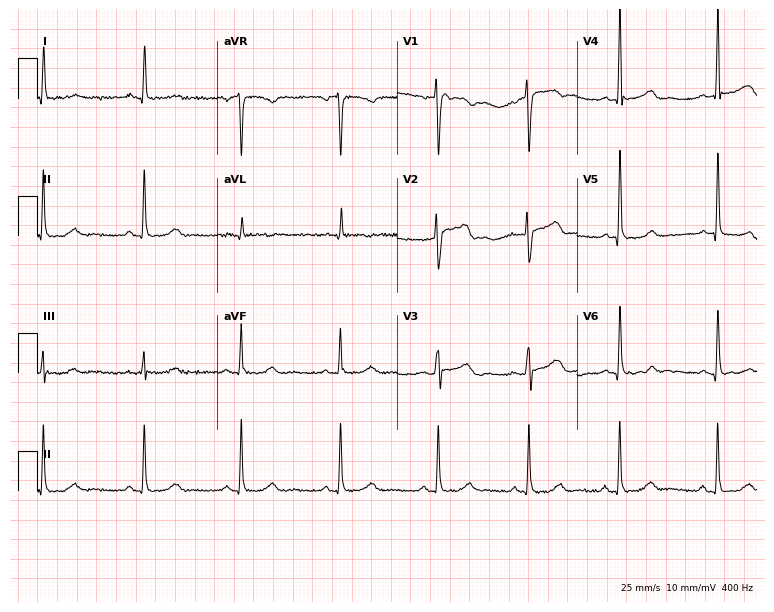
Resting 12-lead electrocardiogram. Patient: a female, 56 years old. None of these six findings is recorded: first-degree AV block, right bundle branch block, left bundle branch block, sinus bradycardia, atrial fibrillation, sinus tachycardia. Only these six findings were labelled.